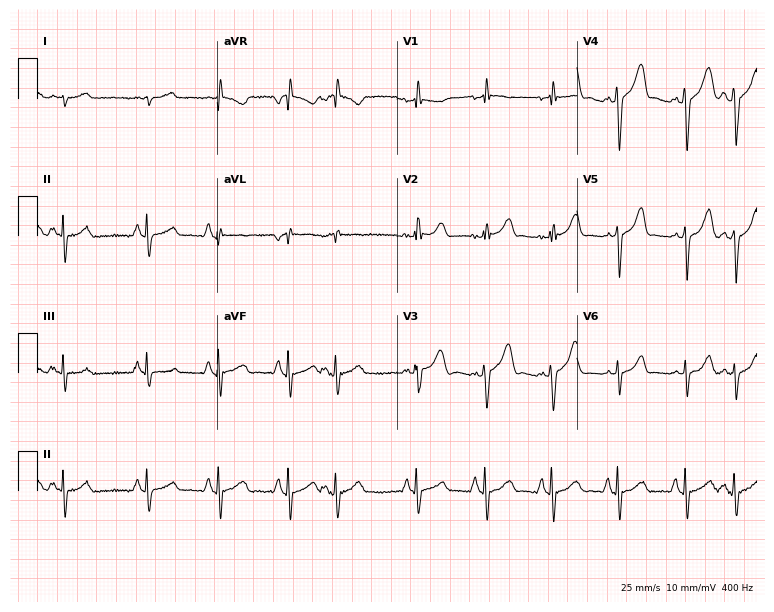
Standard 12-lead ECG recorded from a male patient, 69 years old (7.3-second recording at 400 Hz). None of these six findings is recorded: first-degree AV block, right bundle branch block (RBBB), left bundle branch block (LBBB), sinus bradycardia, atrial fibrillation (AF), sinus tachycardia.